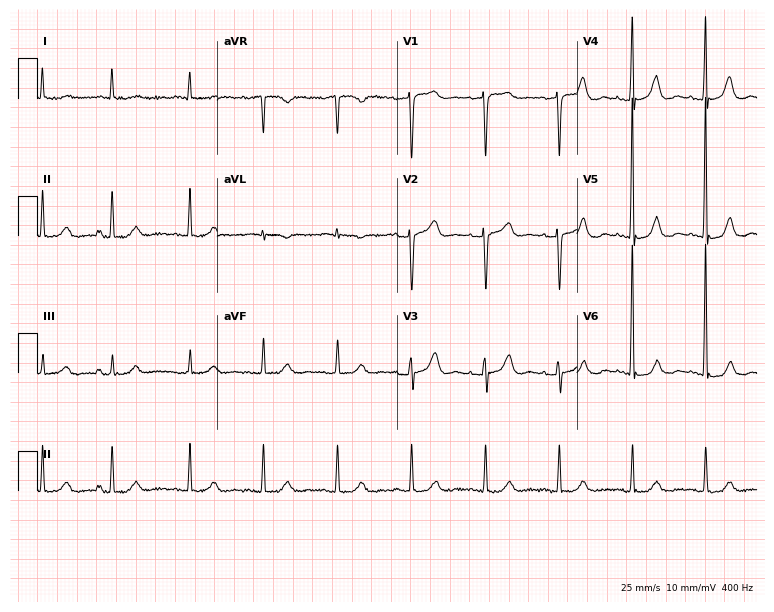
Resting 12-lead electrocardiogram. Patient: an 83-year-old female. Read as a normal ECG.